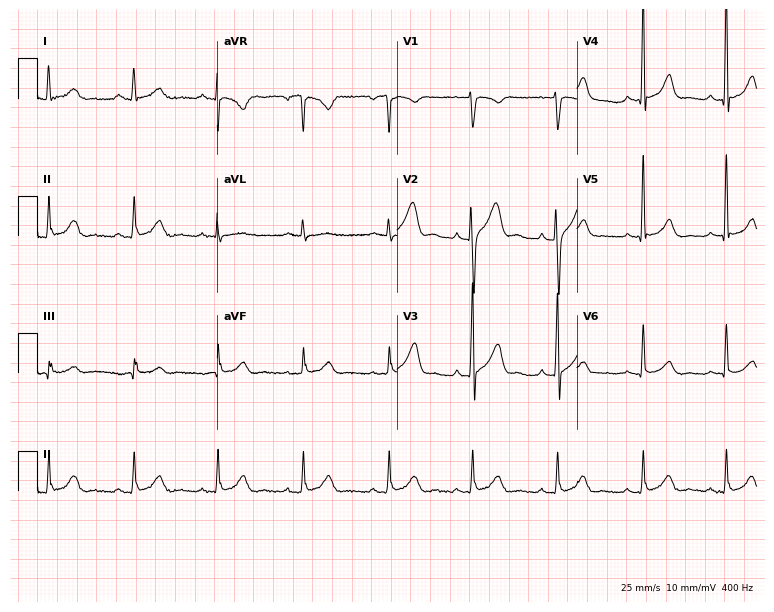
12-lead ECG from a 49-year-old male patient. Screened for six findings — first-degree AV block, right bundle branch block, left bundle branch block, sinus bradycardia, atrial fibrillation, sinus tachycardia — none is recorded.